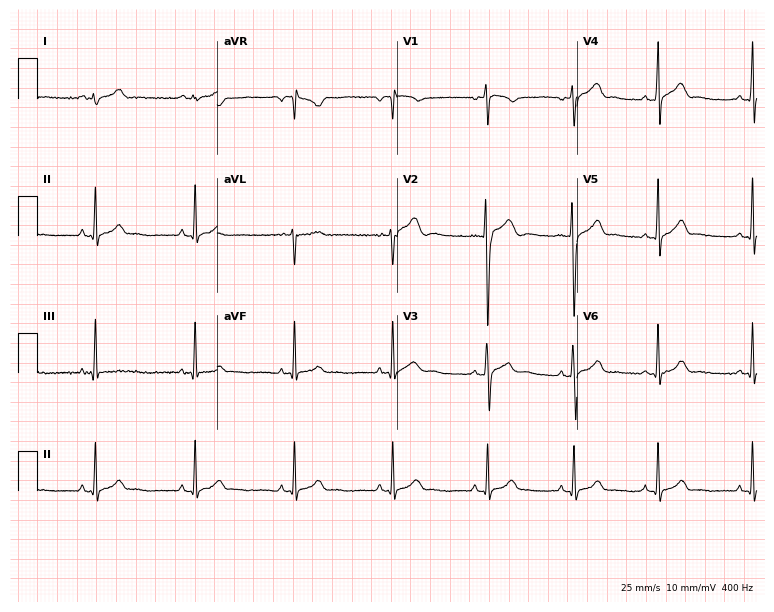
Electrocardiogram (7.3-second recording at 400 Hz), an 18-year-old male. Of the six screened findings (first-degree AV block, right bundle branch block, left bundle branch block, sinus bradycardia, atrial fibrillation, sinus tachycardia), none is recorded. Other findings, if any, are not listed.